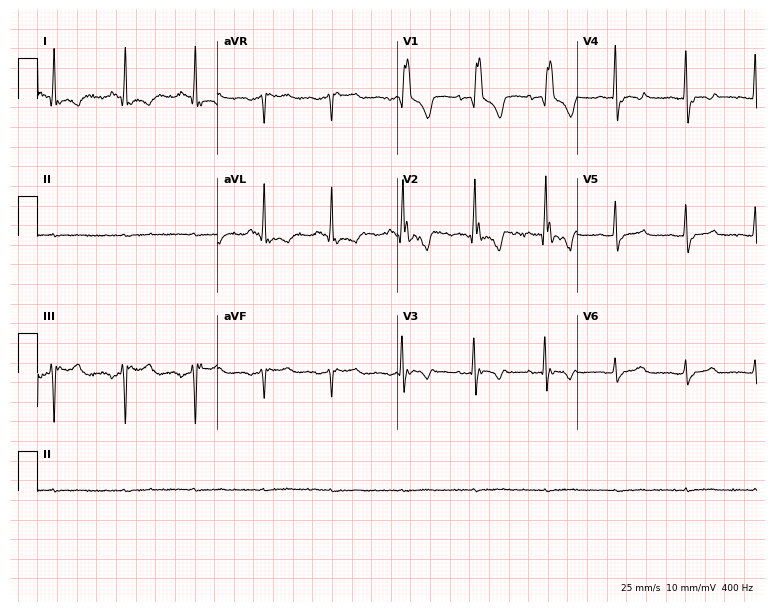
Electrocardiogram, a female patient, 84 years old. Of the six screened findings (first-degree AV block, right bundle branch block, left bundle branch block, sinus bradycardia, atrial fibrillation, sinus tachycardia), none is recorded. Only these six findings were labelled.